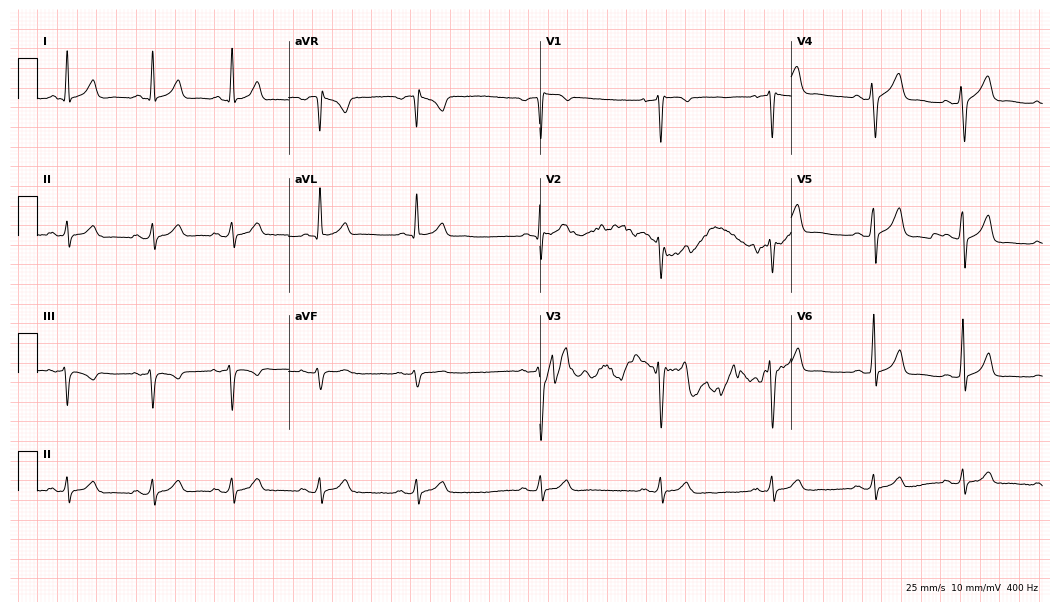
ECG (10.2-second recording at 400 Hz) — a 44-year-old male. Screened for six findings — first-degree AV block, right bundle branch block, left bundle branch block, sinus bradycardia, atrial fibrillation, sinus tachycardia — none is recorded.